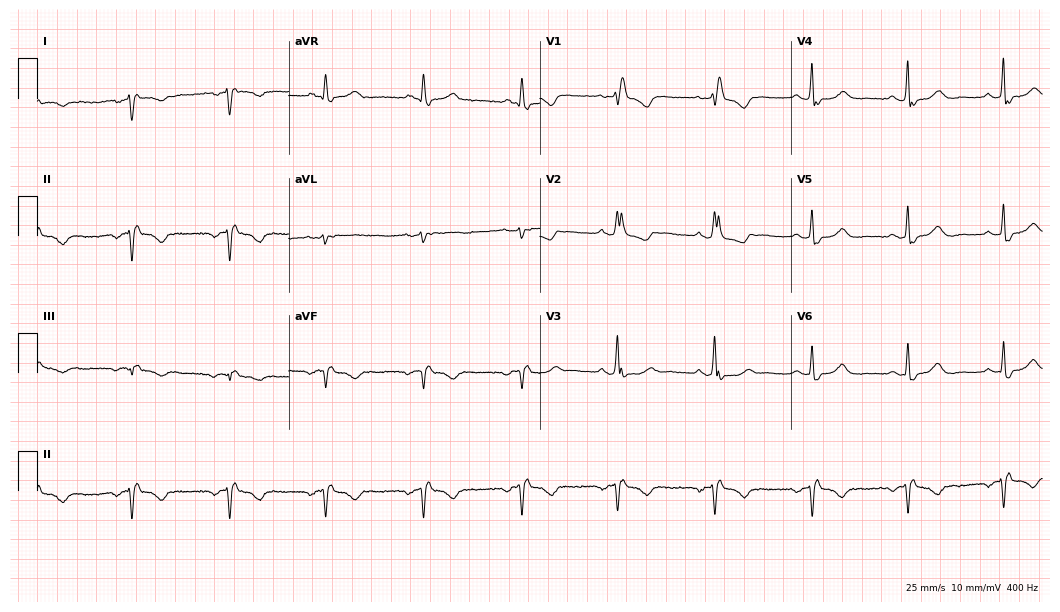
Resting 12-lead electrocardiogram. Patient: a woman, 58 years old. The tracing shows right bundle branch block.